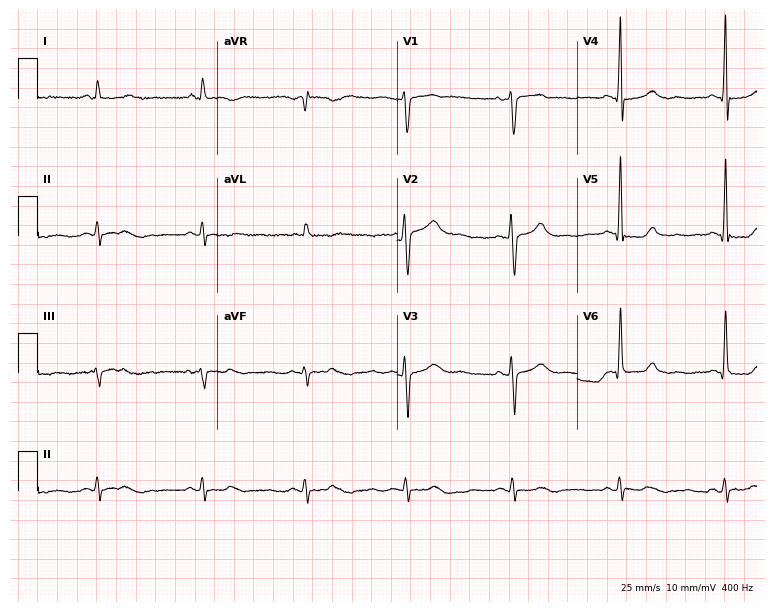
Electrocardiogram, a 43-year-old female patient. Of the six screened findings (first-degree AV block, right bundle branch block, left bundle branch block, sinus bradycardia, atrial fibrillation, sinus tachycardia), none is recorded.